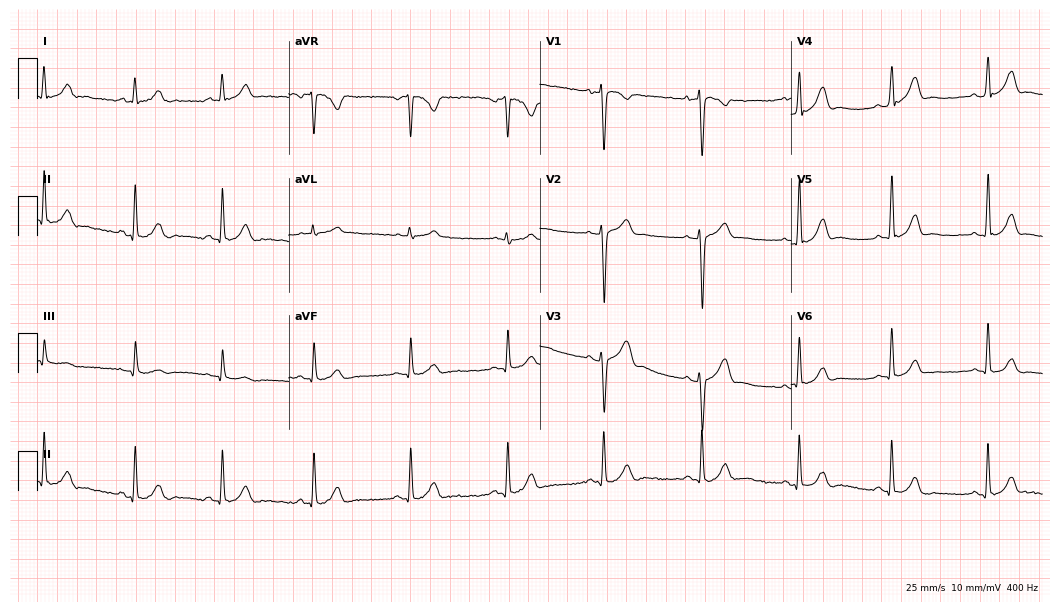
Standard 12-lead ECG recorded from a 28-year-old male patient. Read as a normal ECG.